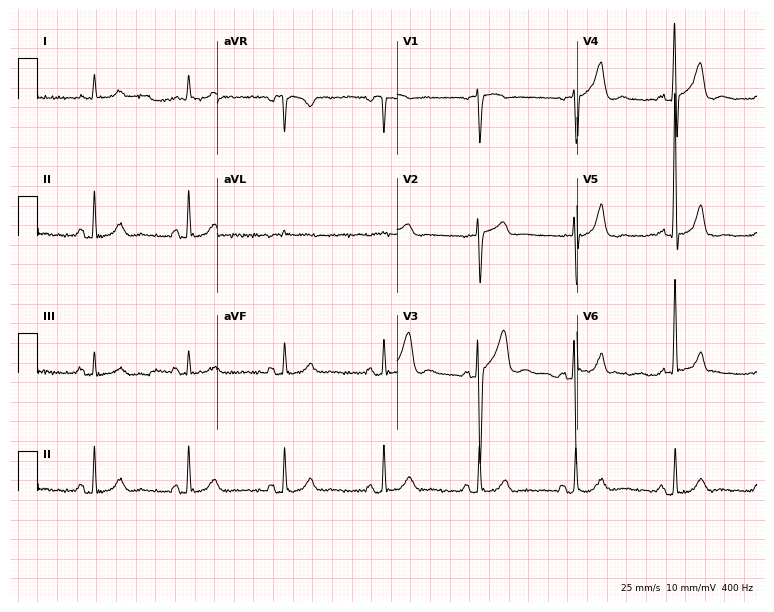
Electrocardiogram (7.3-second recording at 400 Hz), a 77-year-old man. Of the six screened findings (first-degree AV block, right bundle branch block, left bundle branch block, sinus bradycardia, atrial fibrillation, sinus tachycardia), none is recorded.